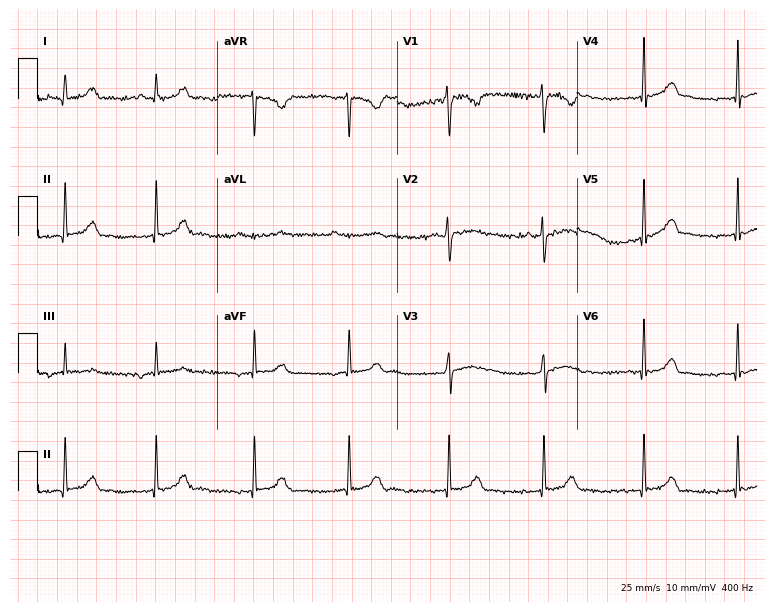
Standard 12-lead ECG recorded from a woman, 28 years old. None of these six findings is recorded: first-degree AV block, right bundle branch block, left bundle branch block, sinus bradycardia, atrial fibrillation, sinus tachycardia.